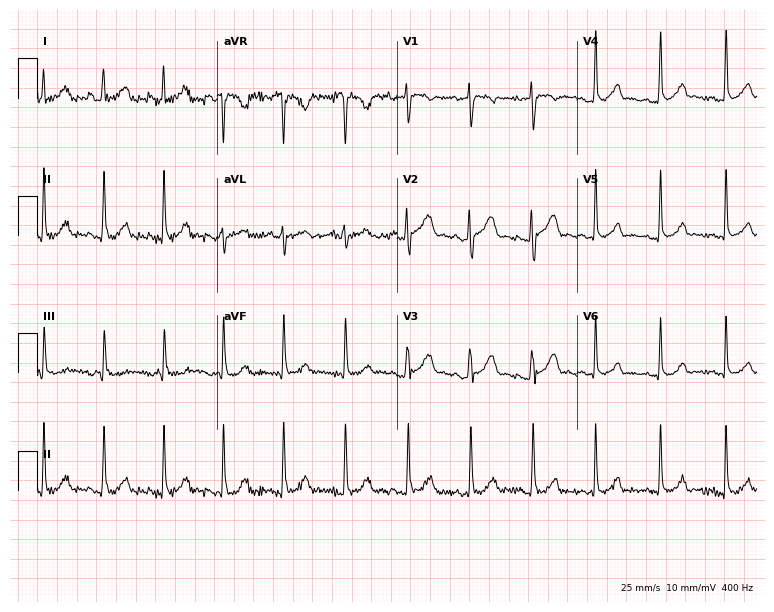
12-lead ECG from a woman, 23 years old (7.3-second recording at 400 Hz). No first-degree AV block, right bundle branch block, left bundle branch block, sinus bradycardia, atrial fibrillation or sinus tachycardia recorded for this tracing. Only these six findings were labelled.